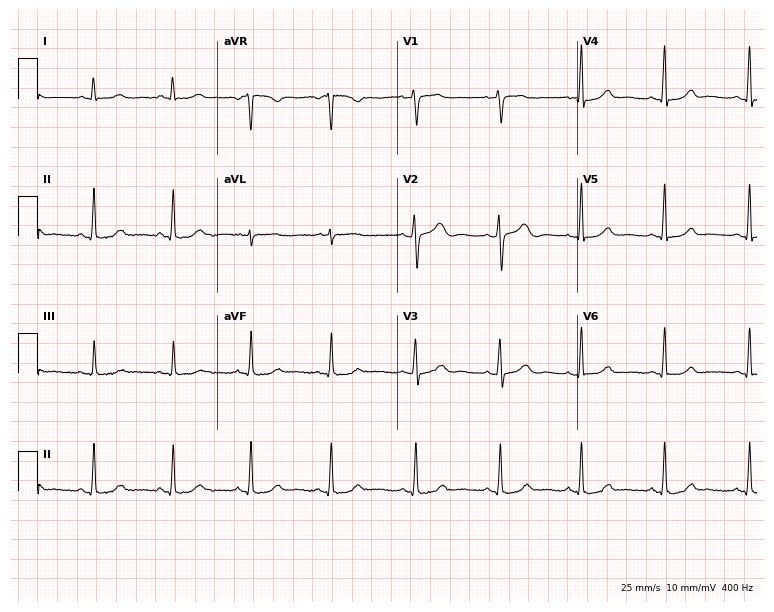
Electrocardiogram (7.3-second recording at 400 Hz), a 40-year-old woman. Overall reading on record: normal ECG.